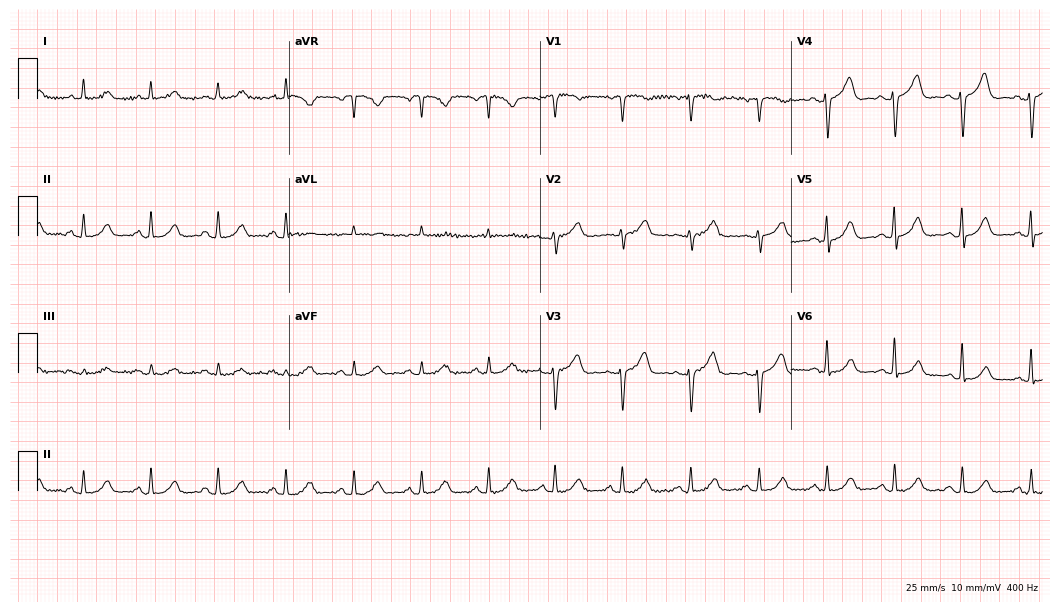
ECG — a 57-year-old female. Screened for six findings — first-degree AV block, right bundle branch block (RBBB), left bundle branch block (LBBB), sinus bradycardia, atrial fibrillation (AF), sinus tachycardia — none is recorded.